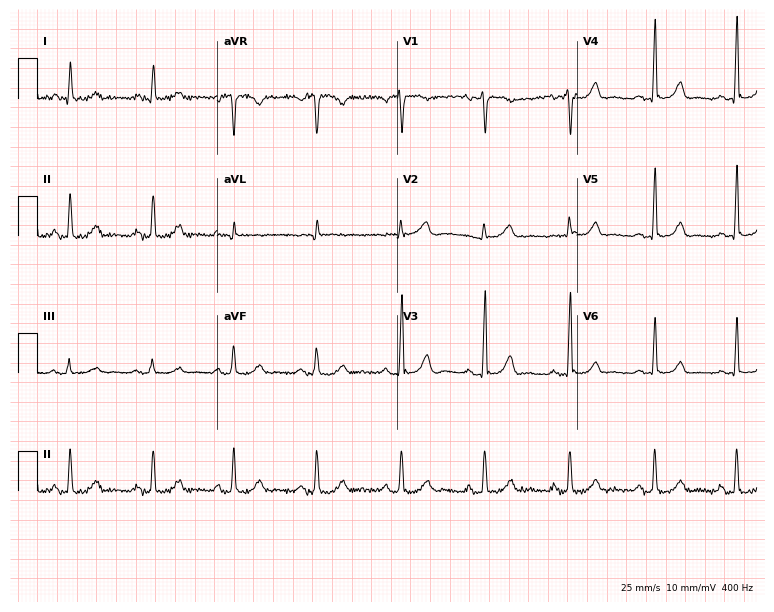
ECG (7.3-second recording at 400 Hz) — a woman, 48 years old. Labelled as a normal ECG.